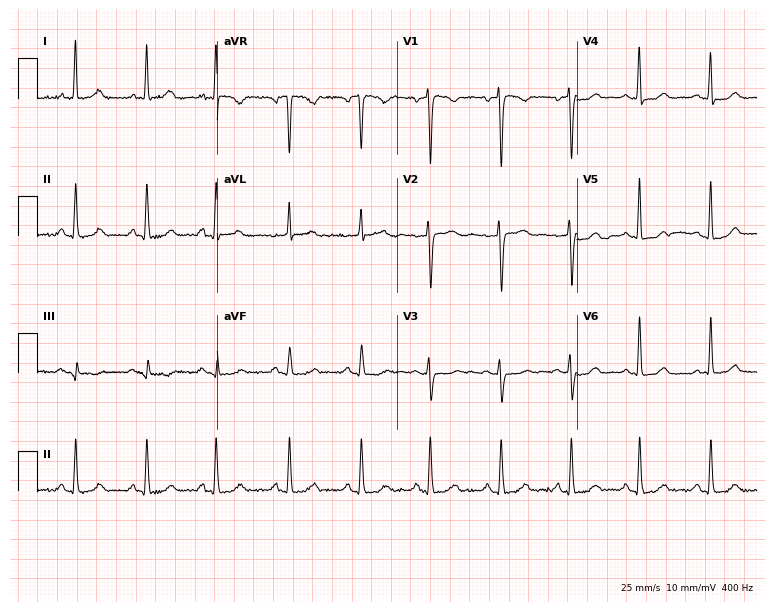
Electrocardiogram, a 44-year-old female patient. Overall reading on record: normal ECG.